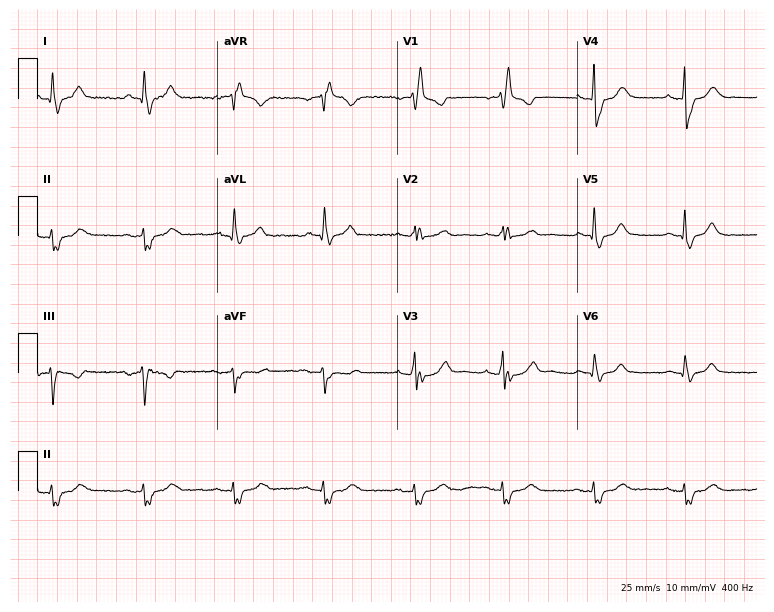
Electrocardiogram, a male patient, 53 years old. Interpretation includes right bundle branch block.